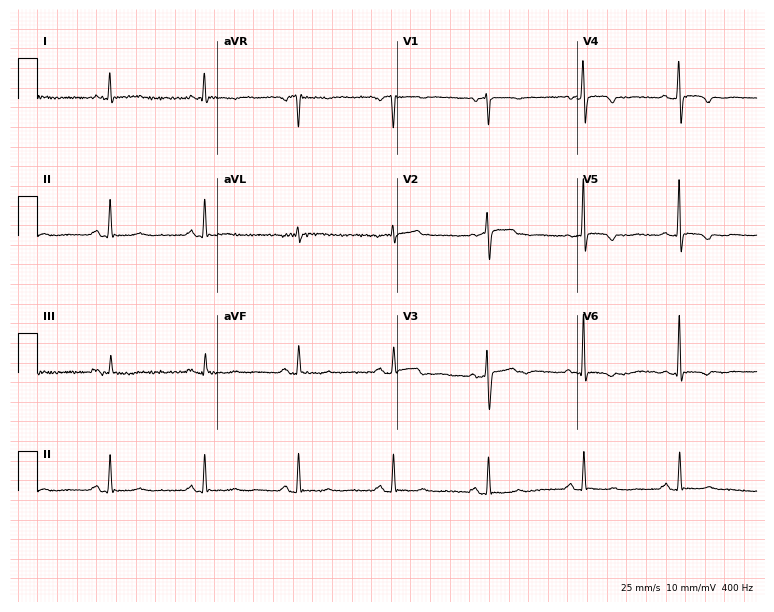
12-lead ECG from a 63-year-old female. Screened for six findings — first-degree AV block, right bundle branch block, left bundle branch block, sinus bradycardia, atrial fibrillation, sinus tachycardia — none is recorded. Only these six findings were labelled.